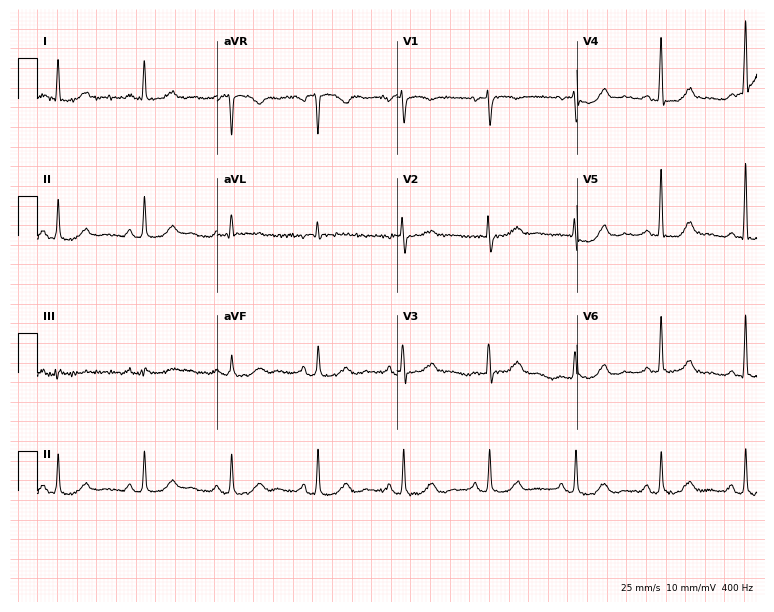
Electrocardiogram (7.3-second recording at 400 Hz), a woman, 81 years old. Of the six screened findings (first-degree AV block, right bundle branch block, left bundle branch block, sinus bradycardia, atrial fibrillation, sinus tachycardia), none is recorded.